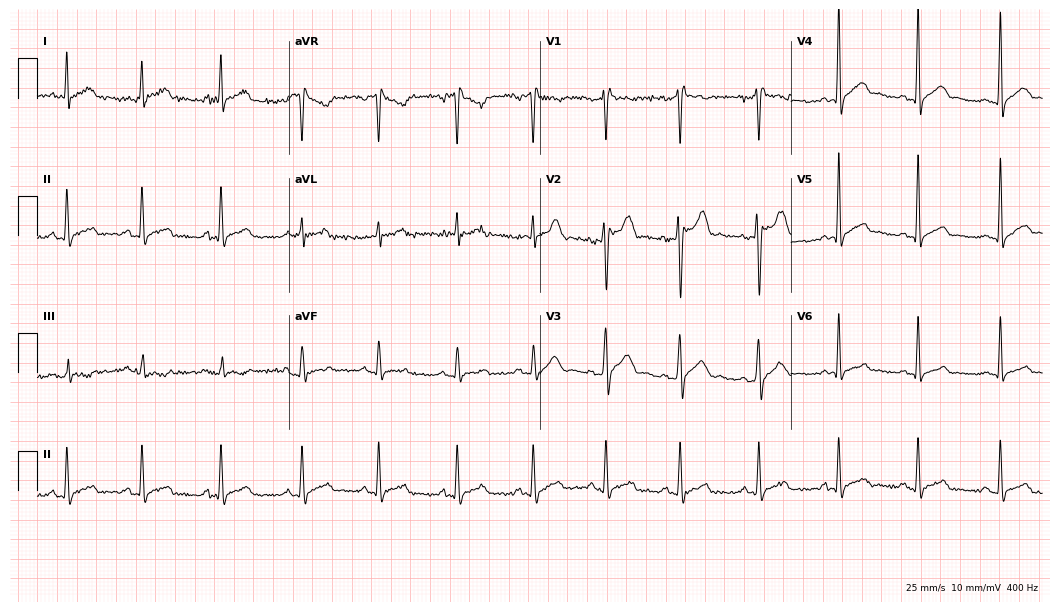
12-lead ECG from a male patient, 27 years old. Screened for six findings — first-degree AV block, right bundle branch block, left bundle branch block, sinus bradycardia, atrial fibrillation, sinus tachycardia — none is recorded.